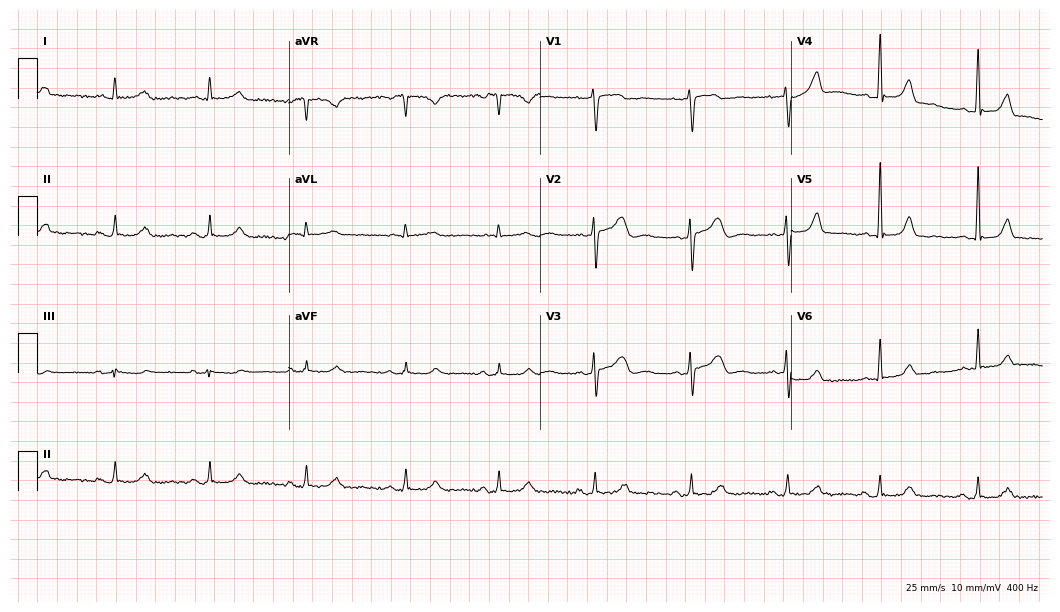
12-lead ECG (10.2-second recording at 400 Hz) from a woman, 48 years old. Screened for six findings — first-degree AV block, right bundle branch block (RBBB), left bundle branch block (LBBB), sinus bradycardia, atrial fibrillation (AF), sinus tachycardia — none is recorded. Other findings, if any, are not listed.